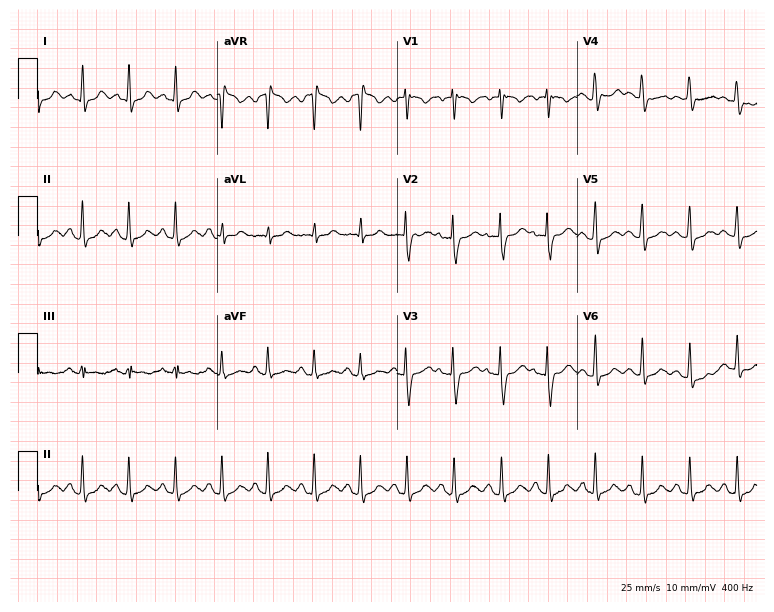
Electrocardiogram, a 22-year-old female patient. Interpretation includes sinus tachycardia (a sinus rate of 100 beats per minute or more).